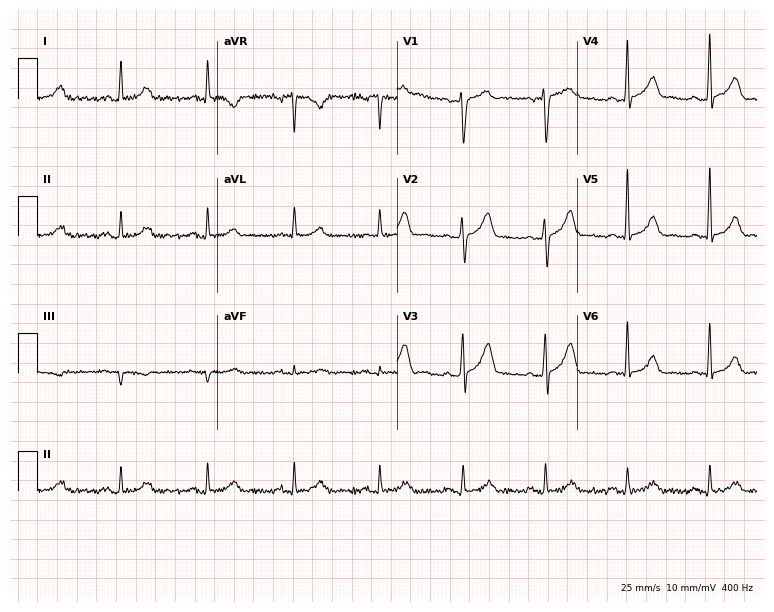
Standard 12-lead ECG recorded from a 57-year-old male (7.3-second recording at 400 Hz). None of these six findings is recorded: first-degree AV block, right bundle branch block, left bundle branch block, sinus bradycardia, atrial fibrillation, sinus tachycardia.